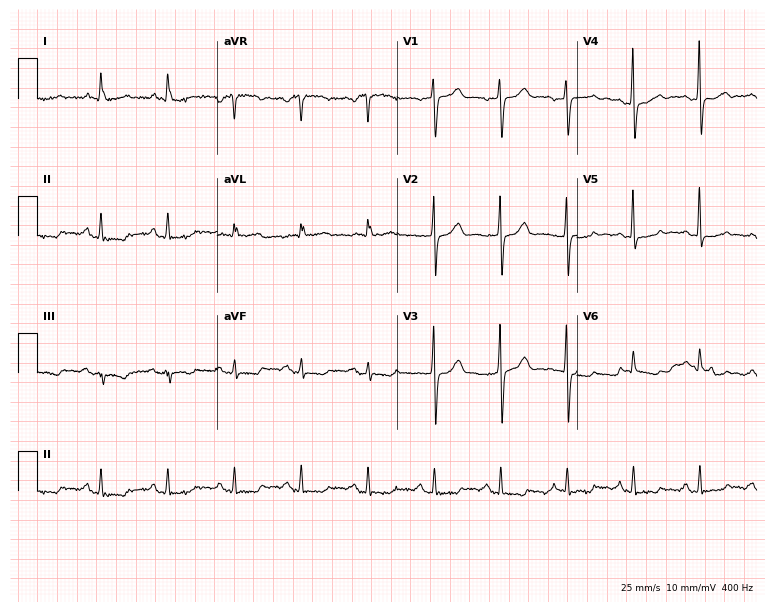
Resting 12-lead electrocardiogram. Patient: a 58-year-old female. Read as a normal ECG.